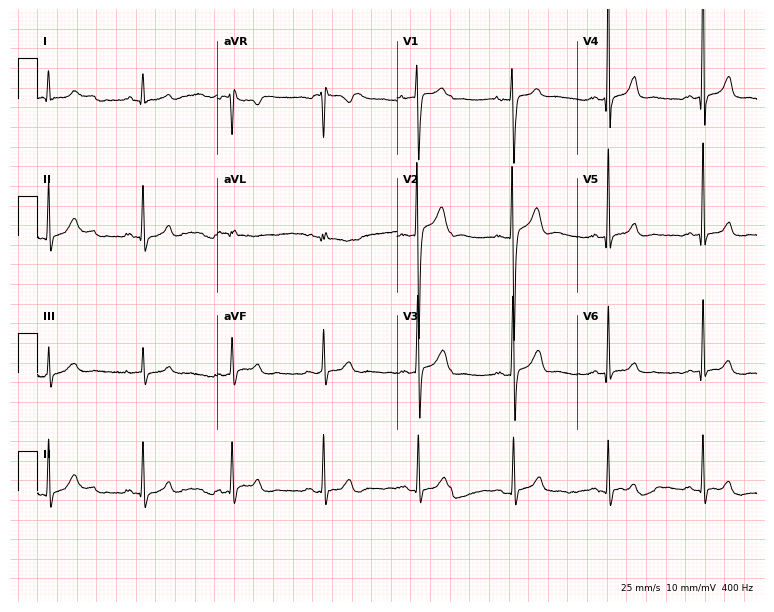
ECG — a 23-year-old man. Screened for six findings — first-degree AV block, right bundle branch block, left bundle branch block, sinus bradycardia, atrial fibrillation, sinus tachycardia — none is recorded. Other findings, if any, are not listed.